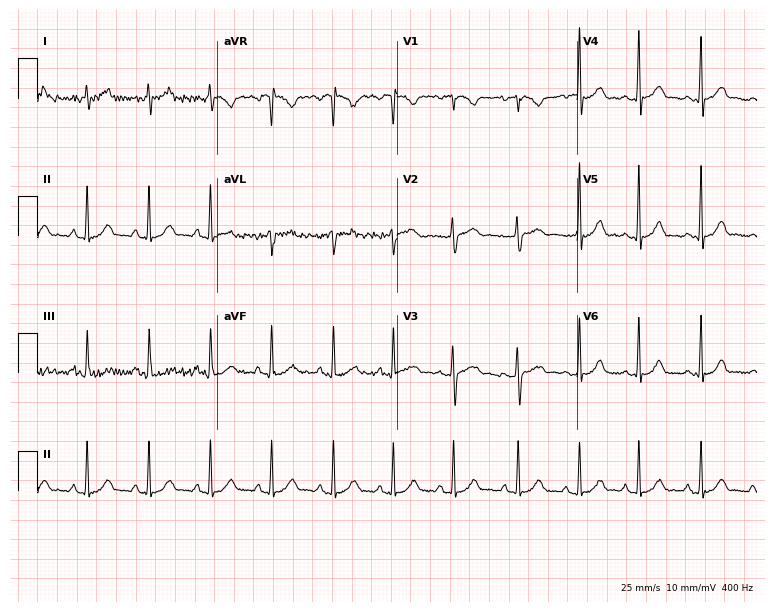
12-lead ECG from an 18-year-old female (7.3-second recording at 400 Hz). No first-degree AV block, right bundle branch block (RBBB), left bundle branch block (LBBB), sinus bradycardia, atrial fibrillation (AF) or sinus tachycardia recorded for this tracing. Other findings, if any, are not listed.